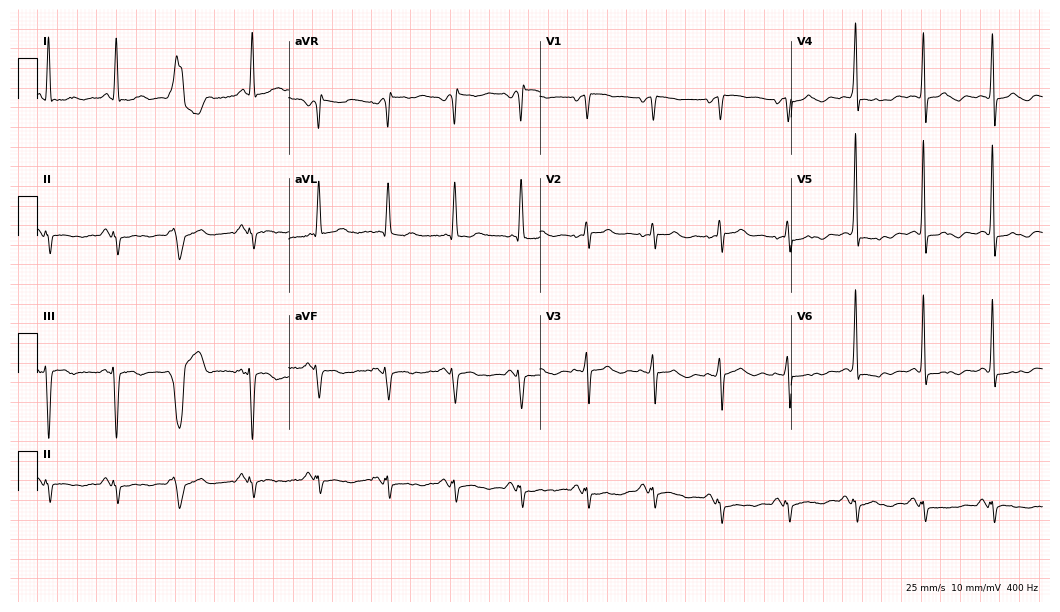
Resting 12-lead electrocardiogram. Patient: a 72-year-old female. None of these six findings is recorded: first-degree AV block, right bundle branch block, left bundle branch block, sinus bradycardia, atrial fibrillation, sinus tachycardia. Other findings, if any, are not listed.